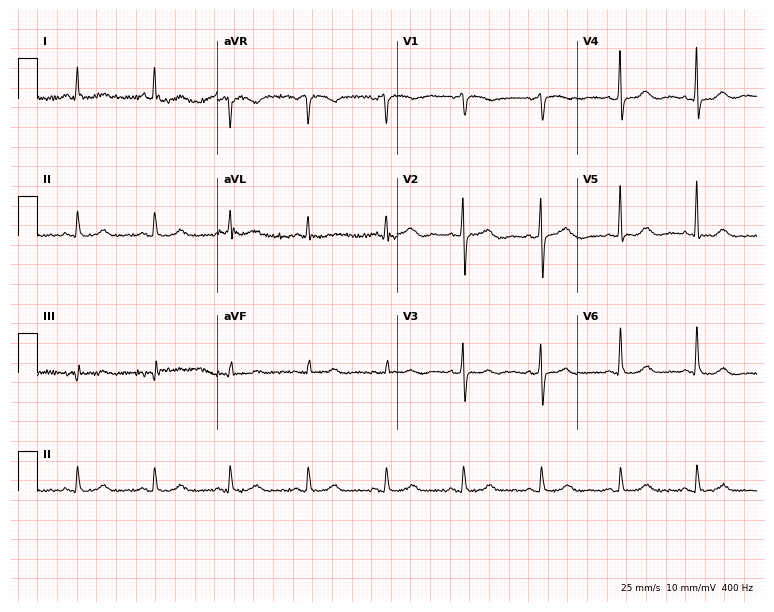
ECG (7.3-second recording at 400 Hz) — a woman, 79 years old. Labelled as a normal ECG.